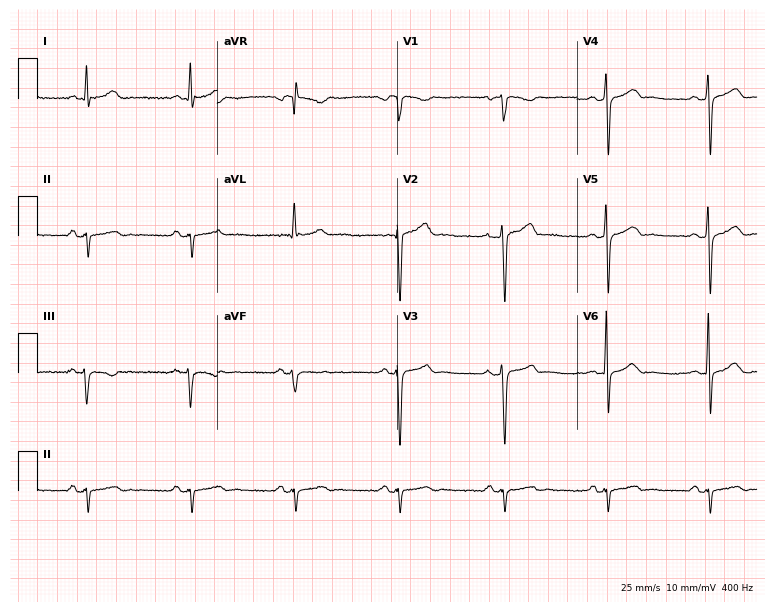
12-lead ECG (7.3-second recording at 400 Hz) from a 55-year-old male patient. Screened for six findings — first-degree AV block, right bundle branch block (RBBB), left bundle branch block (LBBB), sinus bradycardia, atrial fibrillation (AF), sinus tachycardia — none is recorded. Only these six findings were labelled.